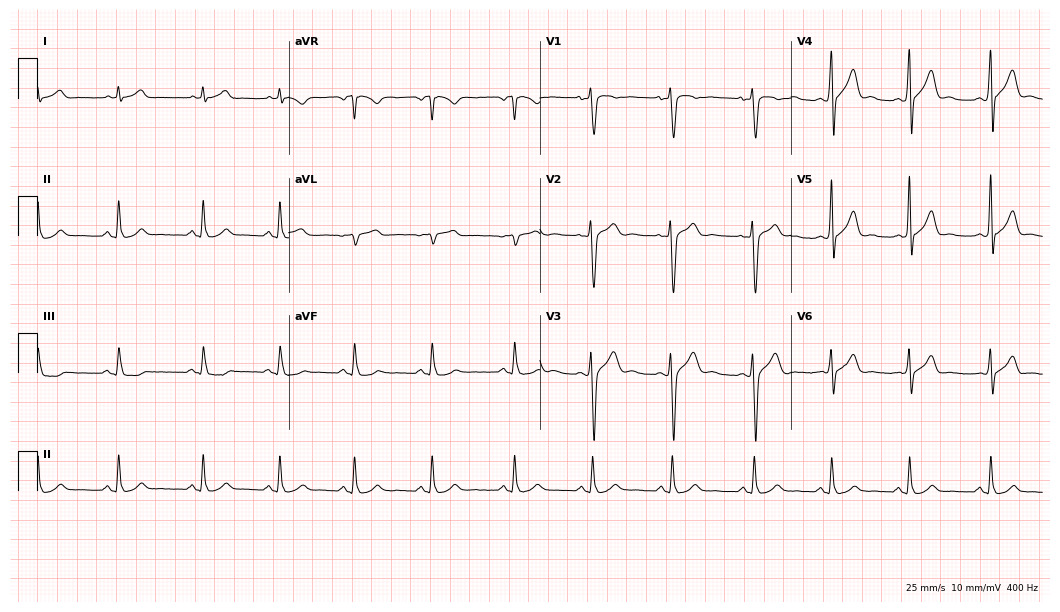
12-lead ECG from a 19-year-old male. Labelled as a normal ECG.